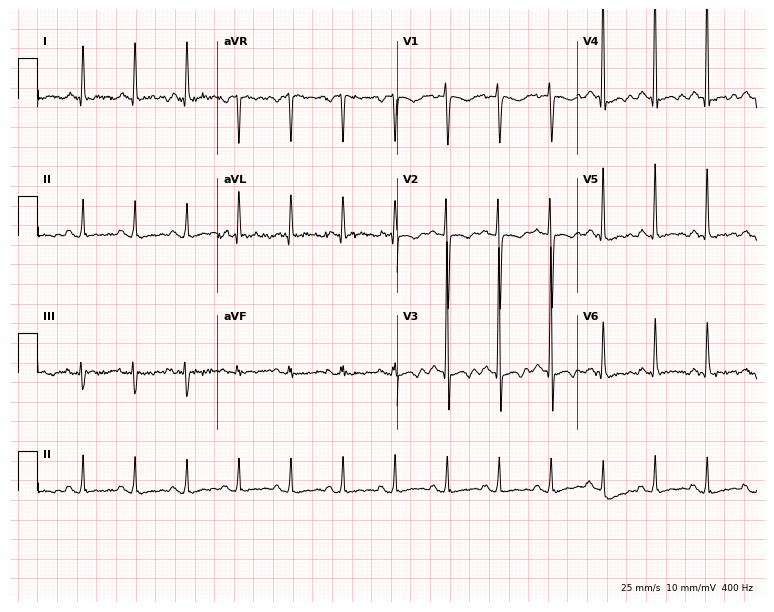
12-lead ECG from a male, 49 years old (7.3-second recording at 400 Hz). Shows sinus tachycardia (a sinus rate of 100 beats per minute or more).